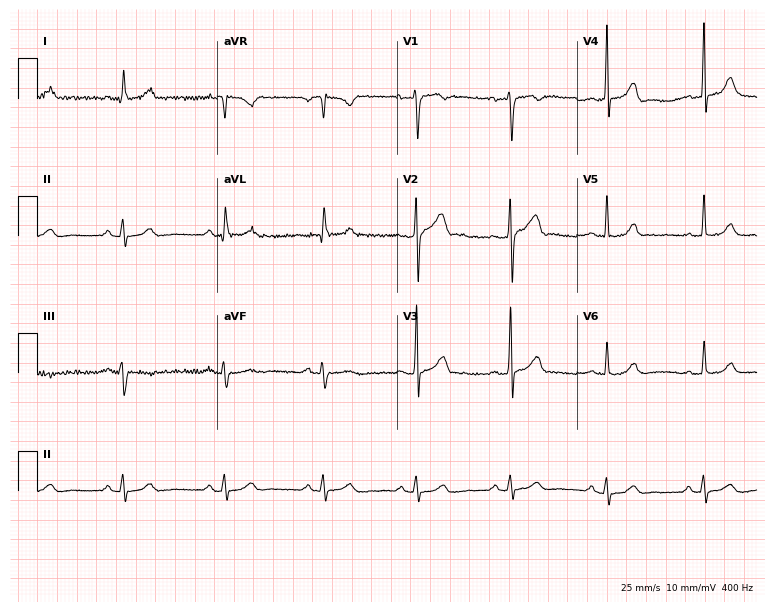
12-lead ECG (7.3-second recording at 400 Hz) from a 46-year-old male patient. Labelled as a normal ECG.